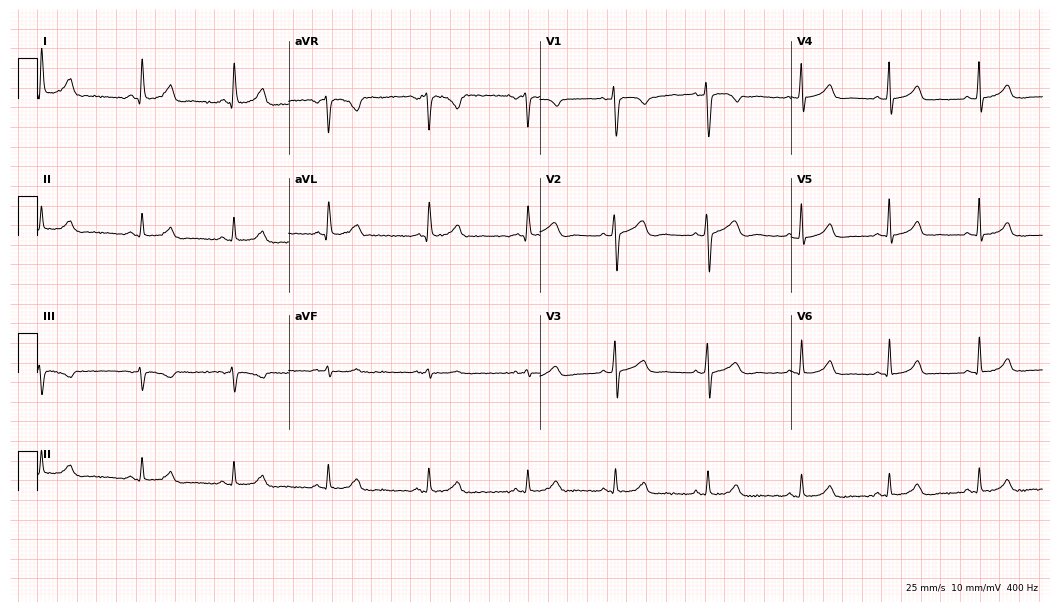
ECG — a 35-year-old female patient. Screened for six findings — first-degree AV block, right bundle branch block, left bundle branch block, sinus bradycardia, atrial fibrillation, sinus tachycardia — none is recorded. Other findings, if any, are not listed.